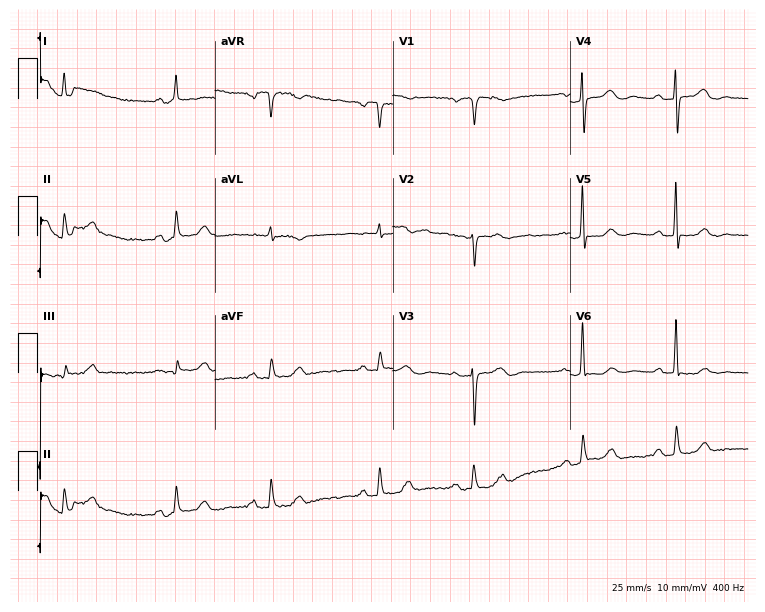
Resting 12-lead electrocardiogram (7.2-second recording at 400 Hz). Patient: an 81-year-old female. None of these six findings is recorded: first-degree AV block, right bundle branch block (RBBB), left bundle branch block (LBBB), sinus bradycardia, atrial fibrillation (AF), sinus tachycardia.